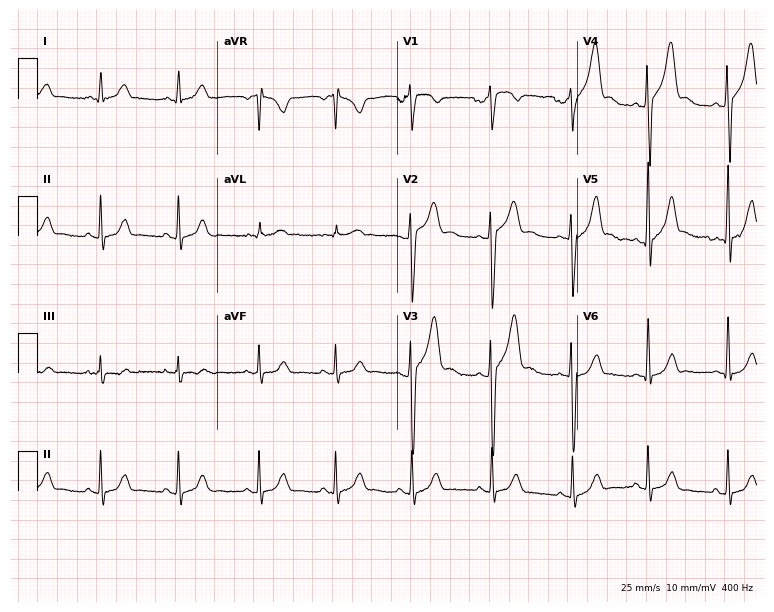
12-lead ECG from an 18-year-old male patient (7.3-second recording at 400 Hz). Recorded interpretation: within normal limits.